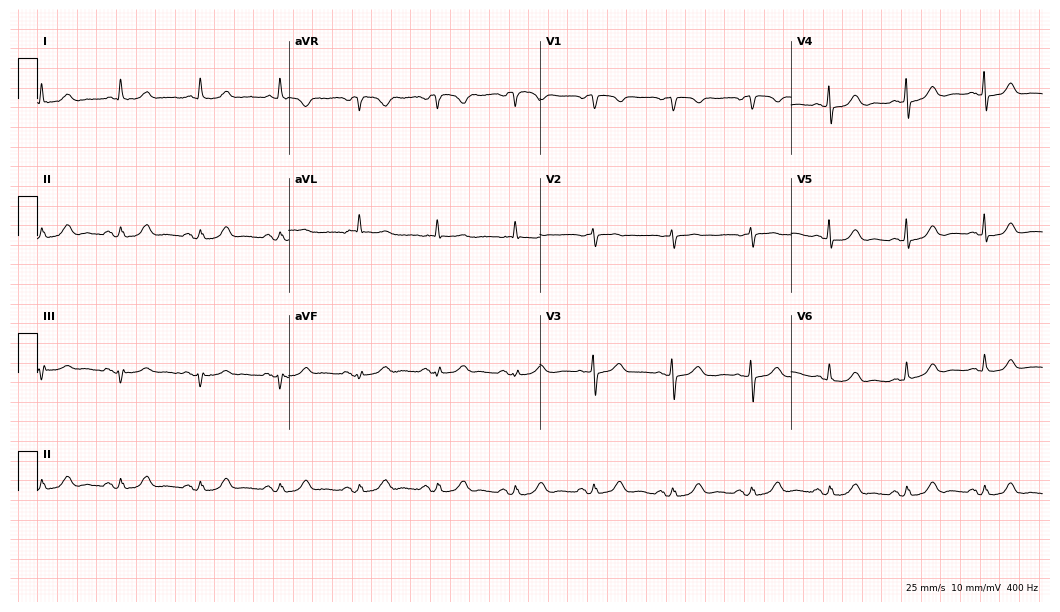
ECG (10.2-second recording at 400 Hz) — a female patient, 75 years old. Labelled as a normal ECG.